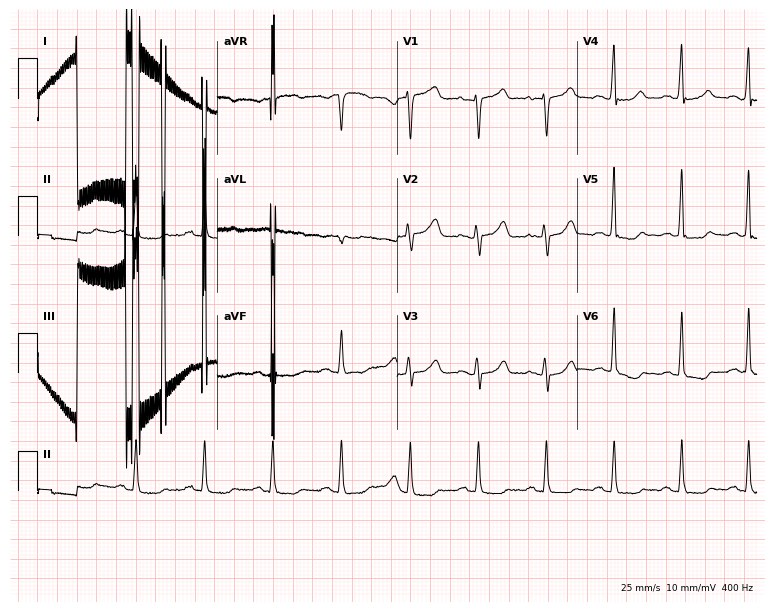
Standard 12-lead ECG recorded from a woman, 60 years old (7.3-second recording at 400 Hz). None of these six findings is recorded: first-degree AV block, right bundle branch block, left bundle branch block, sinus bradycardia, atrial fibrillation, sinus tachycardia. Only these six findings were labelled.